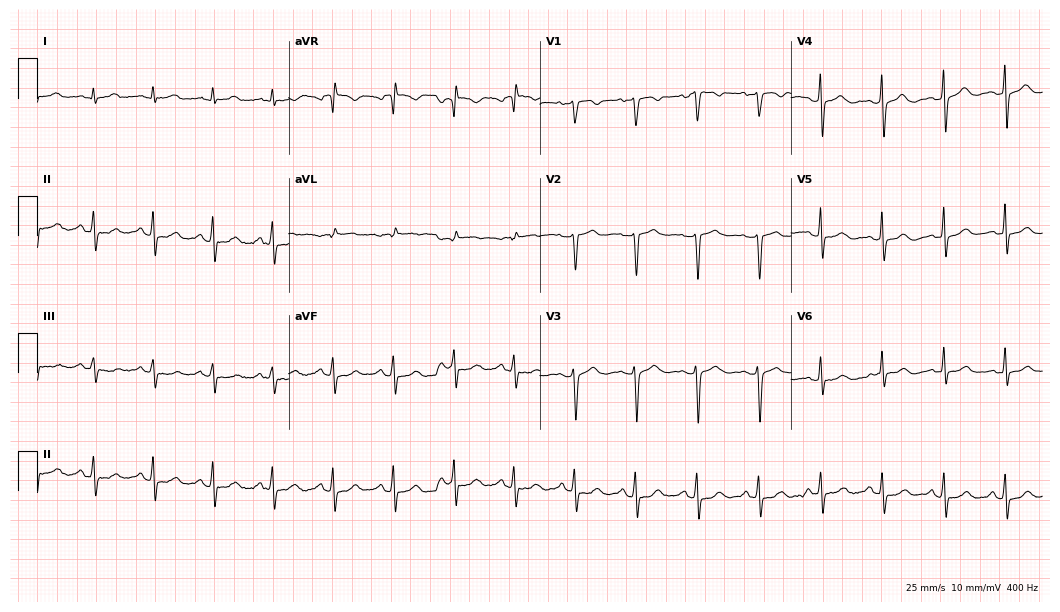
ECG — a woman, 55 years old. Screened for six findings — first-degree AV block, right bundle branch block (RBBB), left bundle branch block (LBBB), sinus bradycardia, atrial fibrillation (AF), sinus tachycardia — none is recorded. Other findings, if any, are not listed.